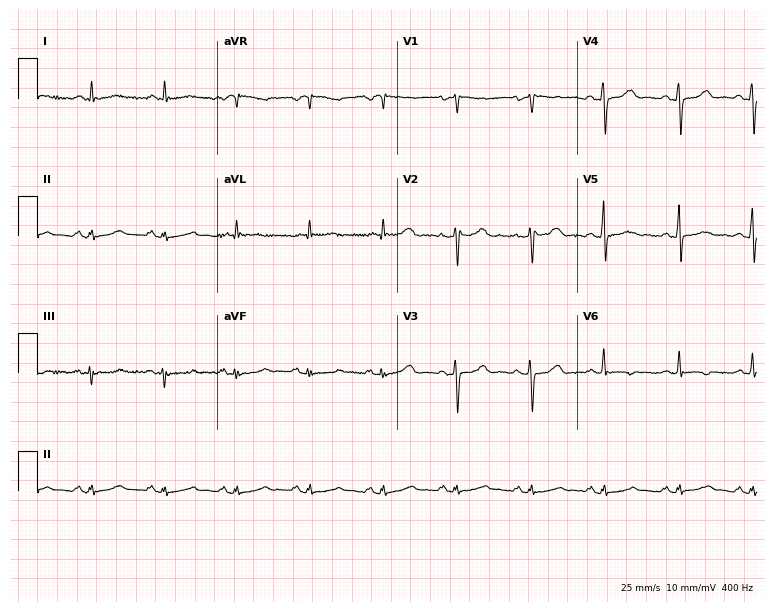
12-lead ECG from a female, 56 years old. No first-degree AV block, right bundle branch block (RBBB), left bundle branch block (LBBB), sinus bradycardia, atrial fibrillation (AF) or sinus tachycardia recorded for this tracing. Only these six findings were labelled.